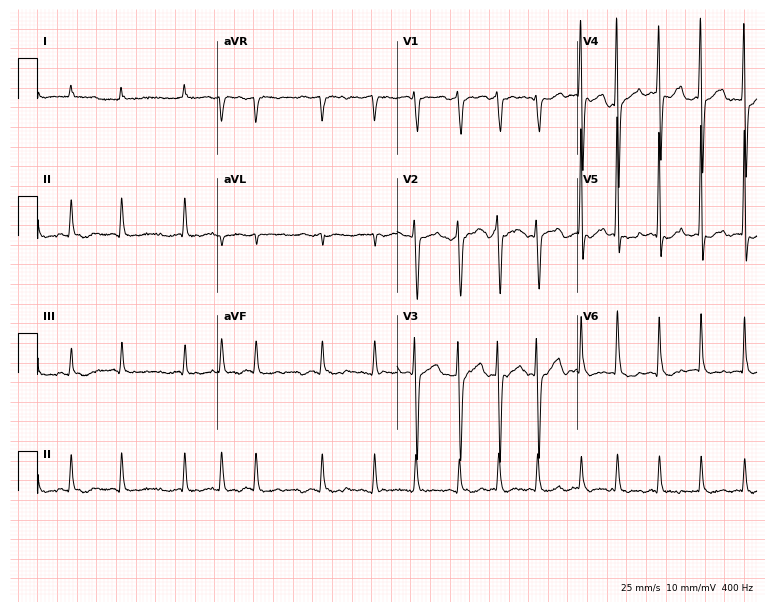
Resting 12-lead electrocardiogram. Patient: a 67-year-old female. The tracing shows atrial fibrillation.